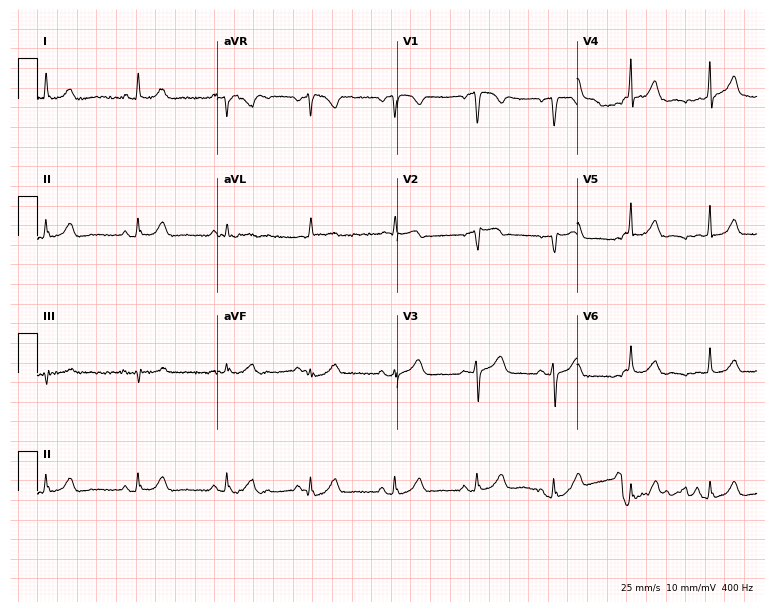
12-lead ECG from a 67-year-old female (7.3-second recording at 400 Hz). No first-degree AV block, right bundle branch block, left bundle branch block, sinus bradycardia, atrial fibrillation or sinus tachycardia recorded for this tracing. Only these six findings were labelled.